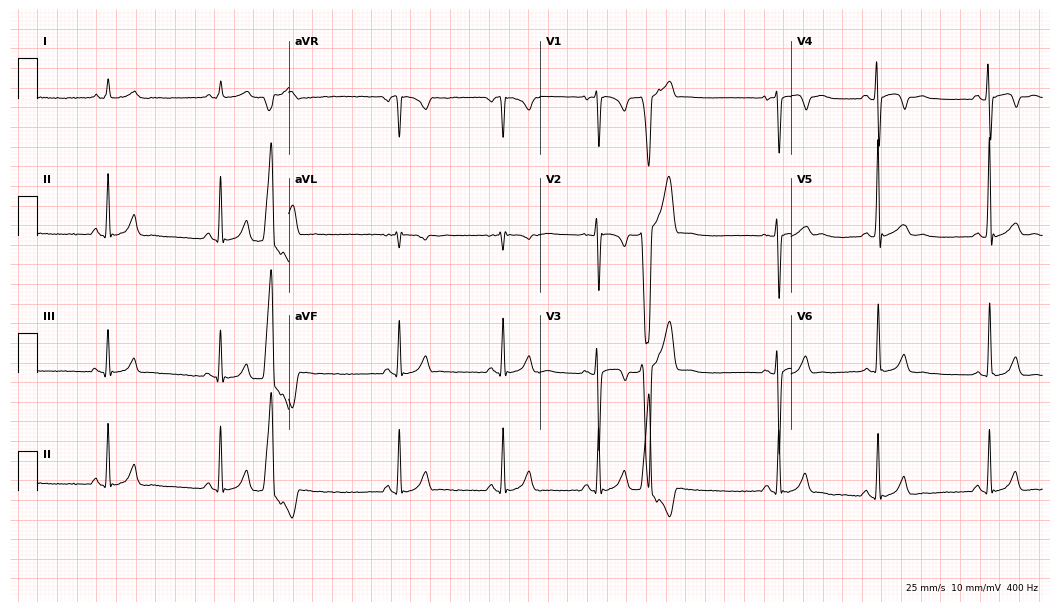
ECG (10.2-second recording at 400 Hz) — a 17-year-old male patient. Screened for six findings — first-degree AV block, right bundle branch block, left bundle branch block, sinus bradycardia, atrial fibrillation, sinus tachycardia — none is recorded. Other findings, if any, are not listed.